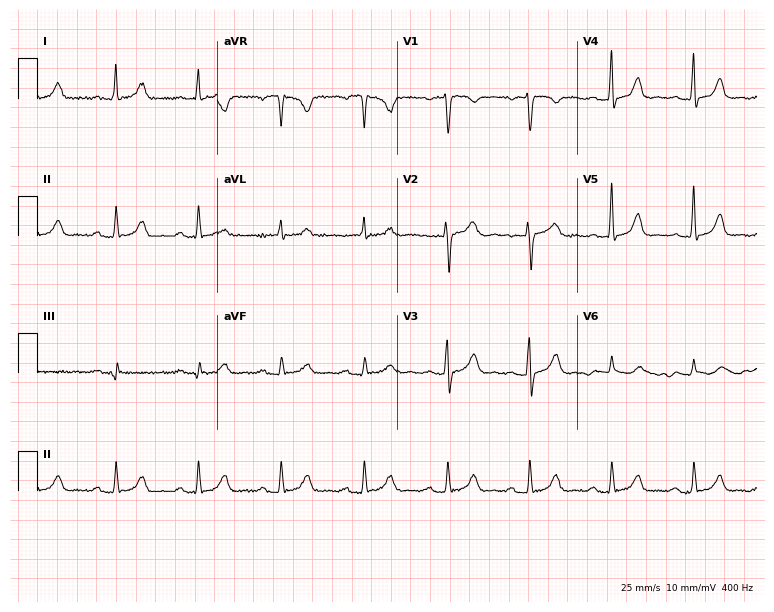
Electrocardiogram (7.3-second recording at 400 Hz), a female patient, 54 years old. Overall reading on record: normal ECG.